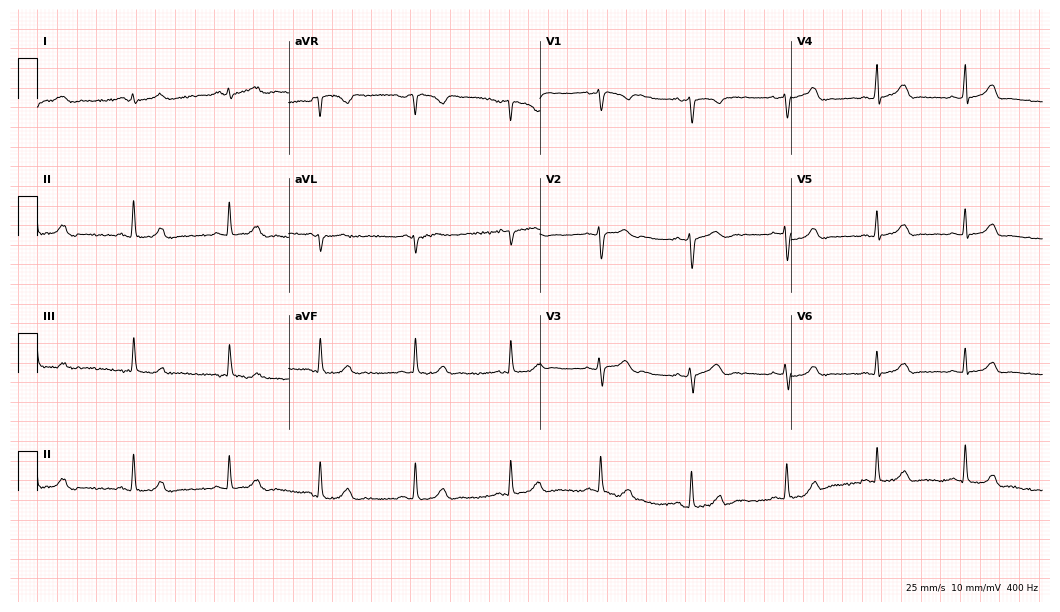
Standard 12-lead ECG recorded from a 19-year-old female patient (10.2-second recording at 400 Hz). Read as a normal ECG.